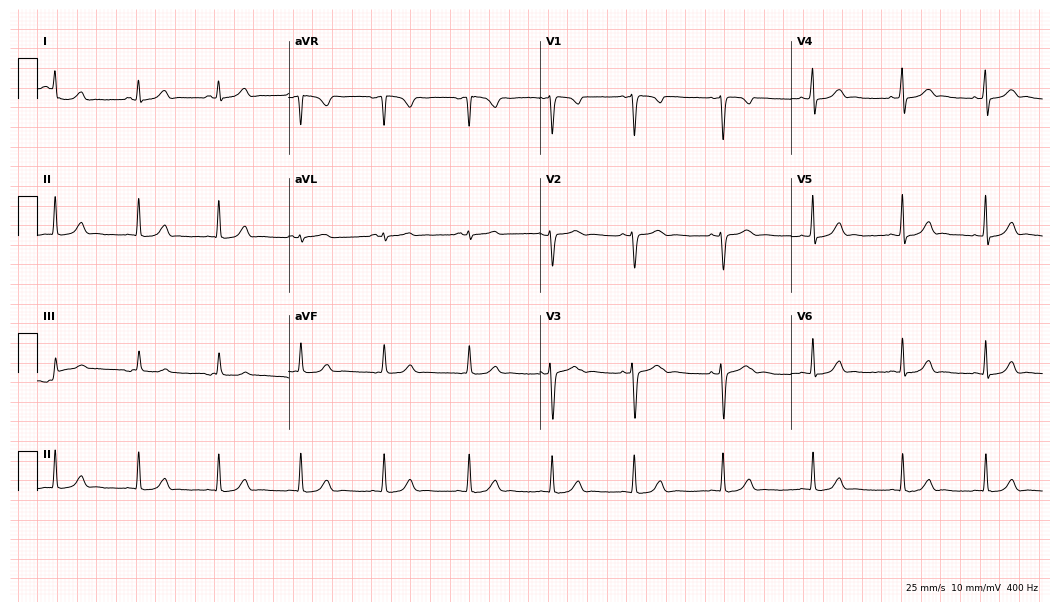
Resting 12-lead electrocardiogram (10.2-second recording at 400 Hz). Patient: a 27-year-old woman. Read as a normal ECG.